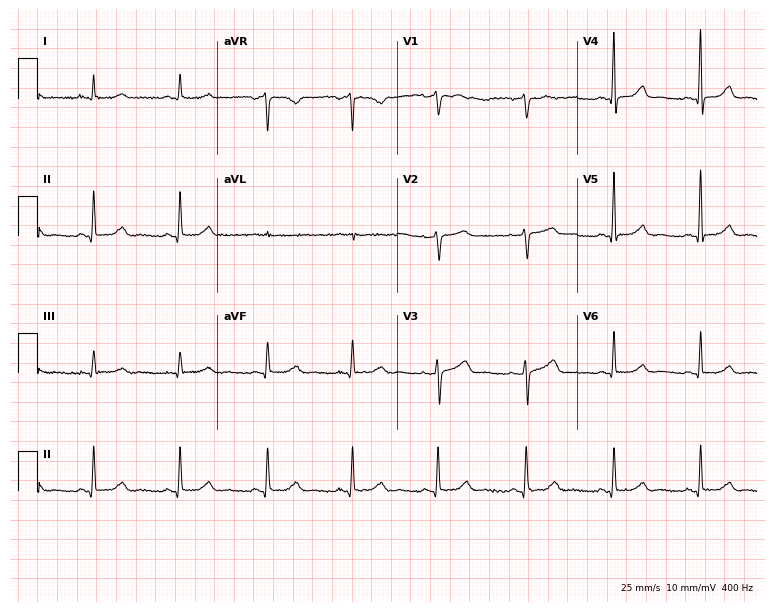
ECG (7.3-second recording at 400 Hz) — a 62-year-old female. Screened for six findings — first-degree AV block, right bundle branch block (RBBB), left bundle branch block (LBBB), sinus bradycardia, atrial fibrillation (AF), sinus tachycardia — none is recorded. Only these six findings were labelled.